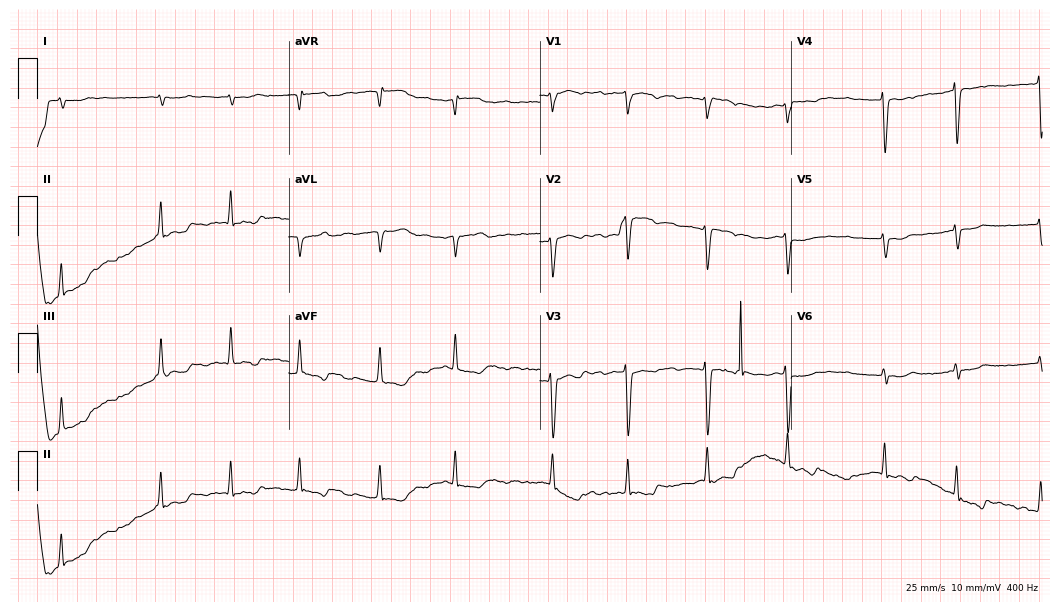
Resting 12-lead electrocardiogram. Patient: an 83-year-old man. None of these six findings is recorded: first-degree AV block, right bundle branch block, left bundle branch block, sinus bradycardia, atrial fibrillation, sinus tachycardia. Other findings, if any, are not listed.